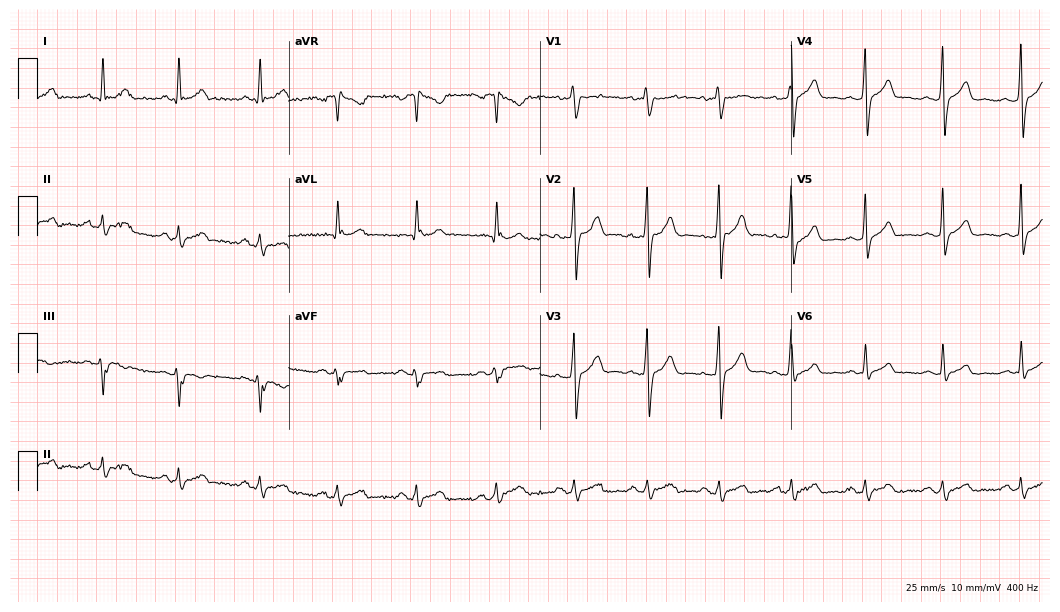
Standard 12-lead ECG recorded from a man, 29 years old (10.2-second recording at 400 Hz). None of these six findings is recorded: first-degree AV block, right bundle branch block, left bundle branch block, sinus bradycardia, atrial fibrillation, sinus tachycardia. Findings outside these six are not listed.